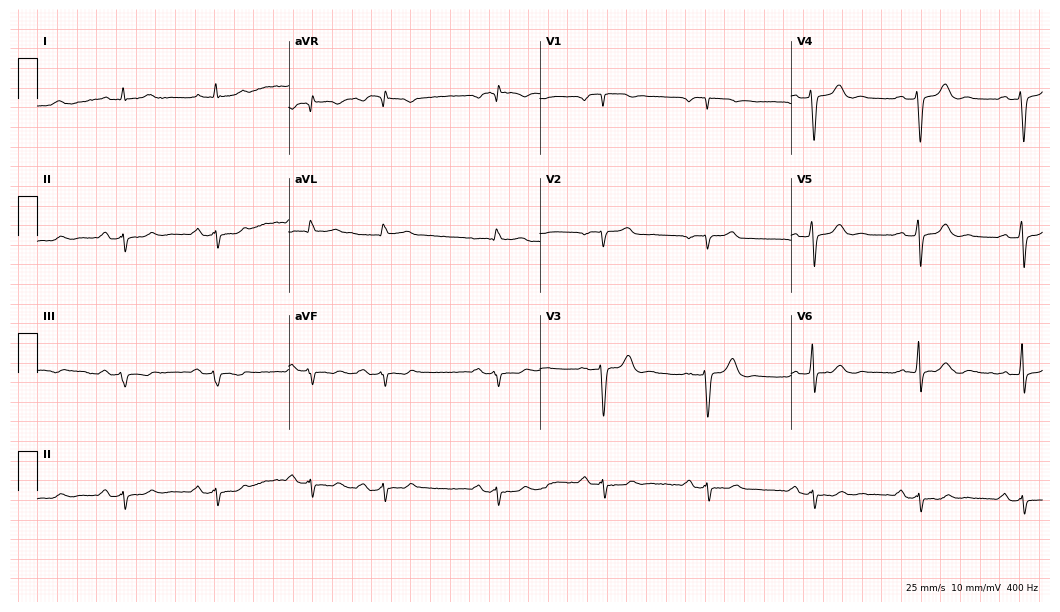
ECG (10.2-second recording at 400 Hz) — a man, 76 years old. Findings include first-degree AV block.